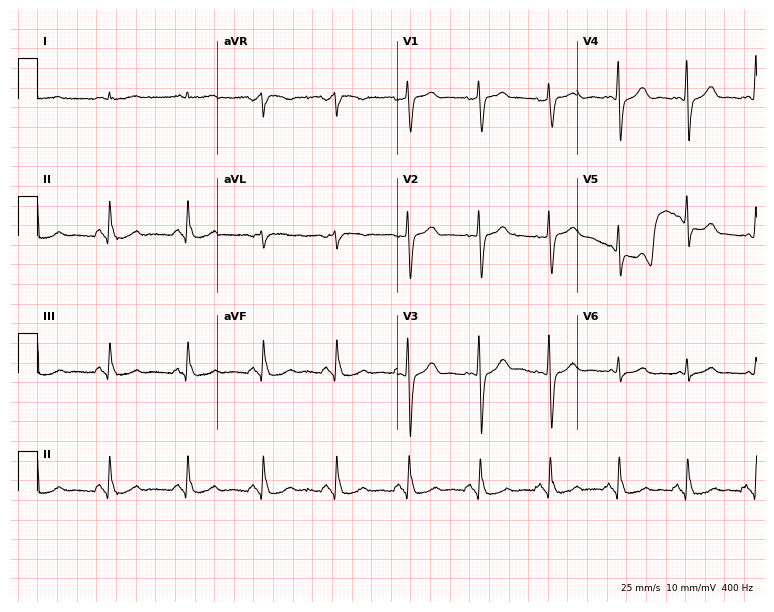
12-lead ECG from a man, 83 years old (7.3-second recording at 400 Hz). Recorded interpretation: within normal limits.